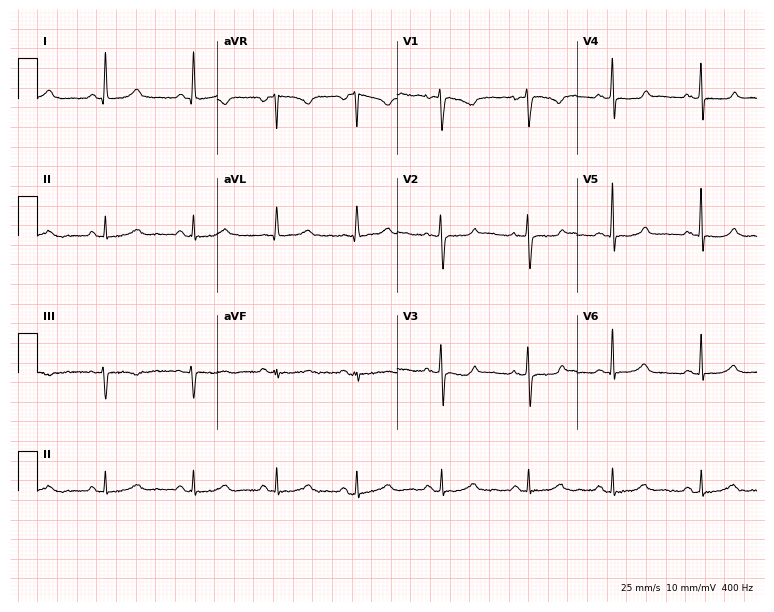
12-lead ECG (7.3-second recording at 400 Hz) from a female, 47 years old. Screened for six findings — first-degree AV block, right bundle branch block, left bundle branch block, sinus bradycardia, atrial fibrillation, sinus tachycardia — none is recorded.